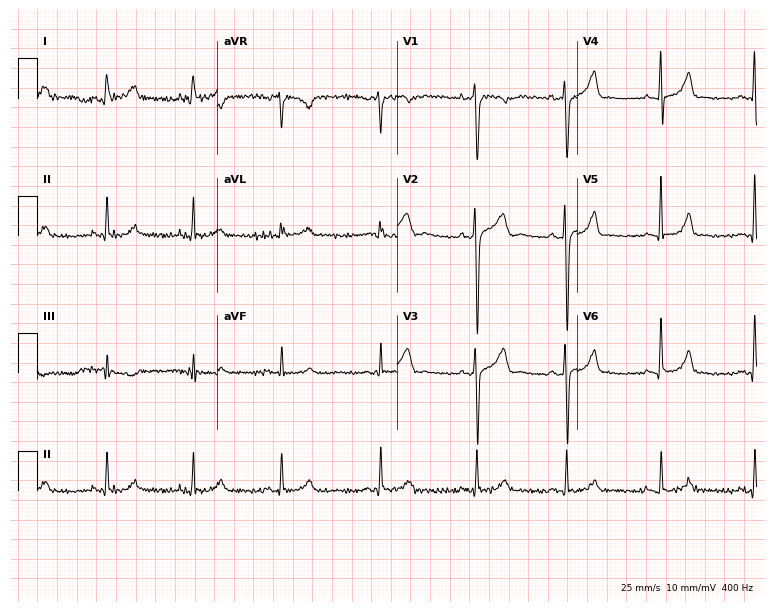
Electrocardiogram, a man, 36 years old. Of the six screened findings (first-degree AV block, right bundle branch block, left bundle branch block, sinus bradycardia, atrial fibrillation, sinus tachycardia), none is recorded.